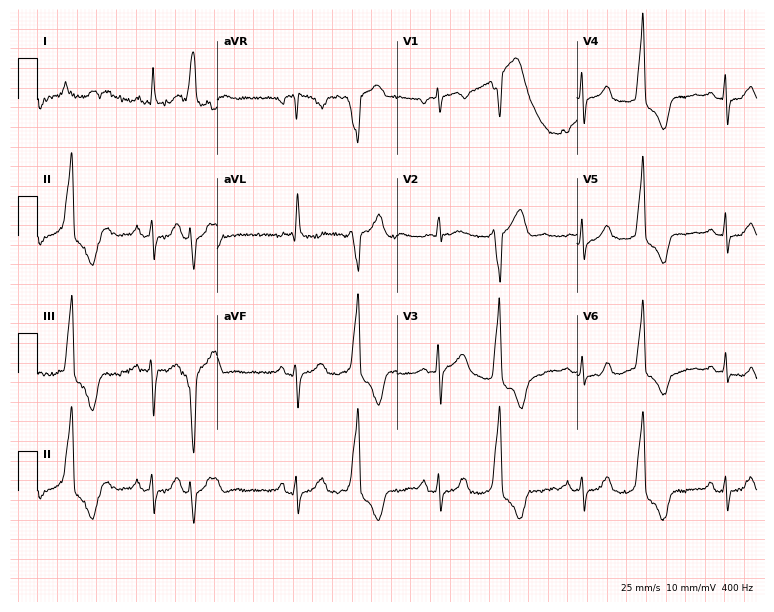
Standard 12-lead ECG recorded from a 75-year-old woman. None of these six findings is recorded: first-degree AV block, right bundle branch block, left bundle branch block, sinus bradycardia, atrial fibrillation, sinus tachycardia. Only these six findings were labelled.